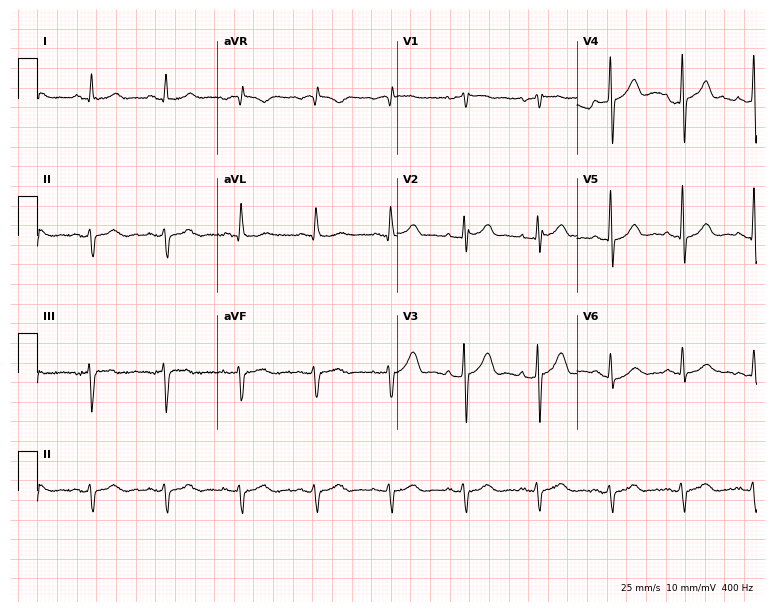
12-lead ECG from a 71-year-old male. No first-degree AV block, right bundle branch block, left bundle branch block, sinus bradycardia, atrial fibrillation or sinus tachycardia recorded for this tracing.